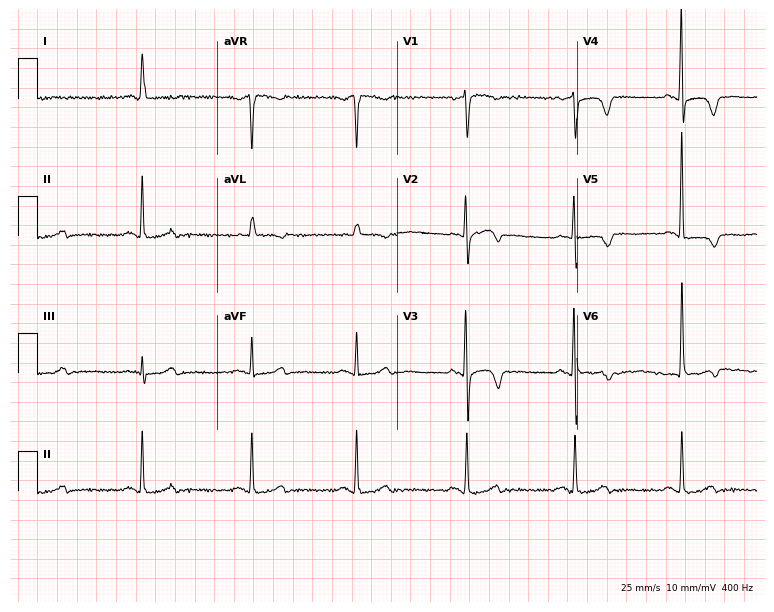
ECG — a woman, 85 years old. Screened for six findings — first-degree AV block, right bundle branch block, left bundle branch block, sinus bradycardia, atrial fibrillation, sinus tachycardia — none is recorded. Other findings, if any, are not listed.